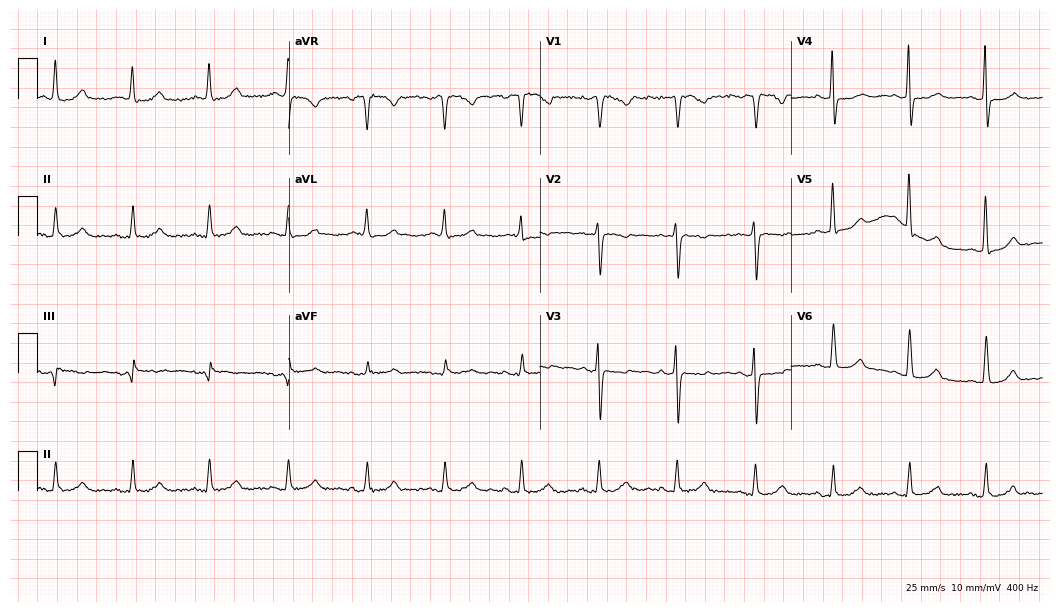
Resting 12-lead electrocardiogram. Patient: a female, 73 years old. None of these six findings is recorded: first-degree AV block, right bundle branch block (RBBB), left bundle branch block (LBBB), sinus bradycardia, atrial fibrillation (AF), sinus tachycardia.